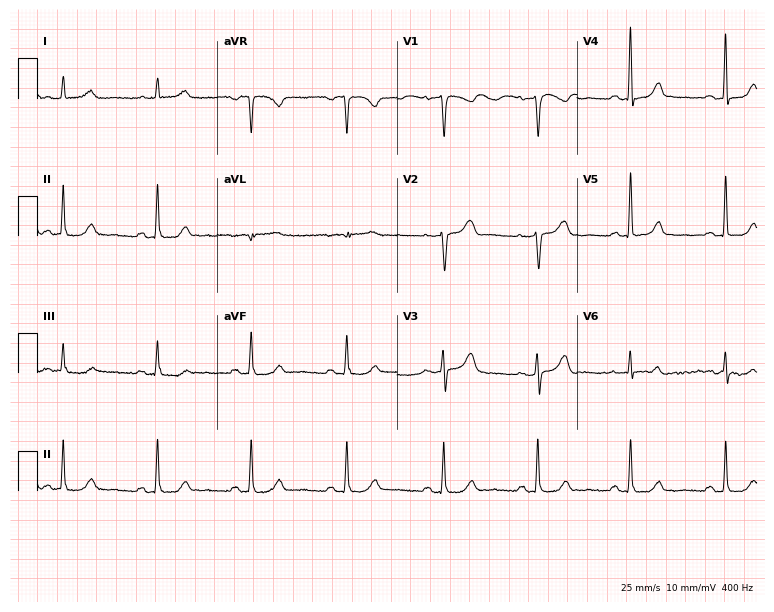
Electrocardiogram (7.3-second recording at 400 Hz), a female, 52 years old. Overall reading on record: normal ECG.